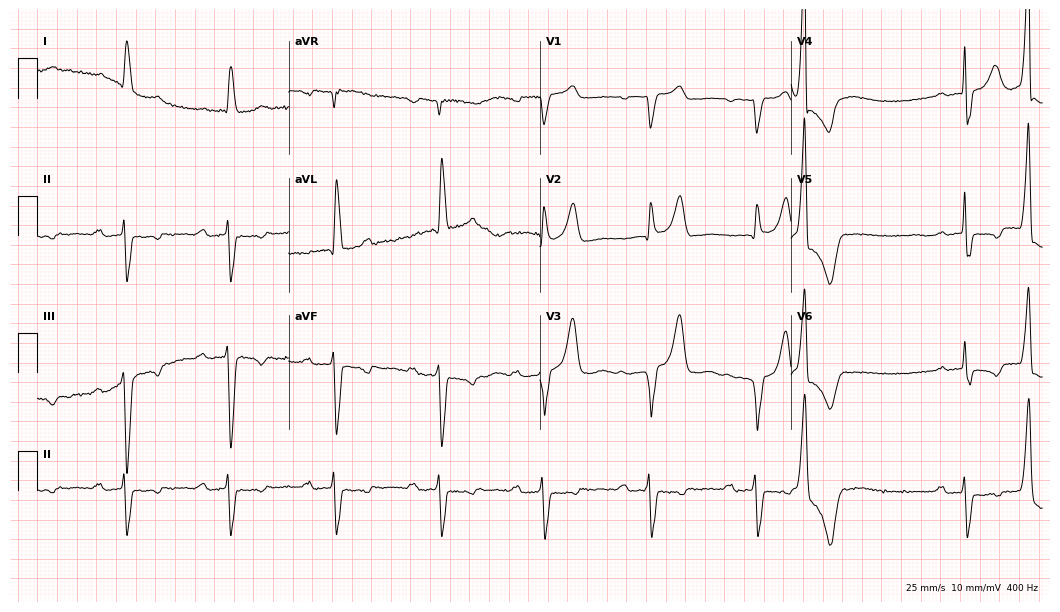
ECG — a female, 78 years old. Screened for six findings — first-degree AV block, right bundle branch block, left bundle branch block, sinus bradycardia, atrial fibrillation, sinus tachycardia — none is recorded. Findings outside these six are not listed.